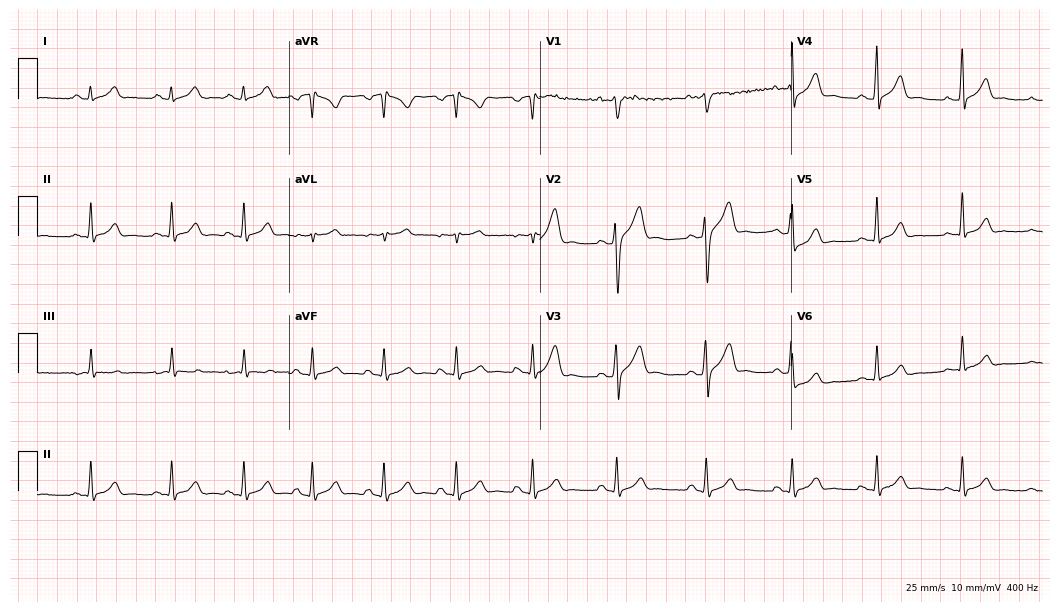
12-lead ECG (10.2-second recording at 400 Hz) from a 24-year-old male patient. Labelled as a normal ECG.